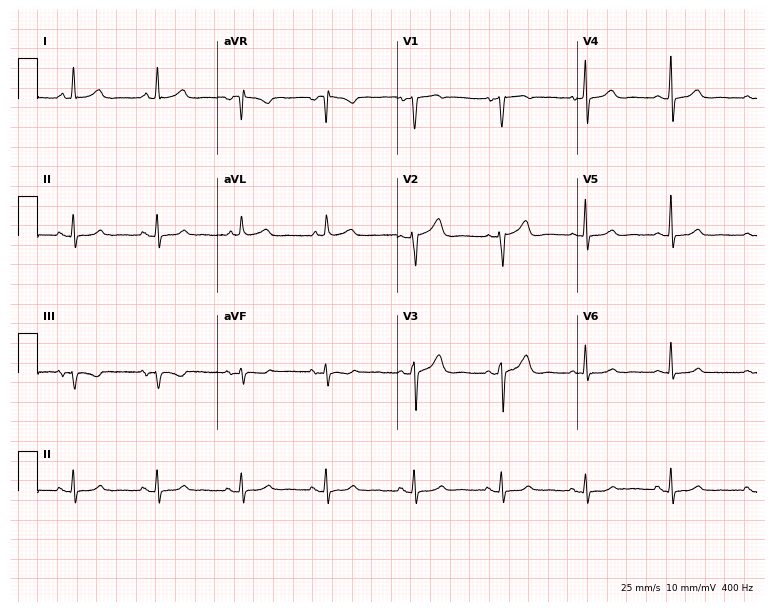
12-lead ECG from a woman, 59 years old (7.3-second recording at 400 Hz). Recorded interpretation: within normal limits.